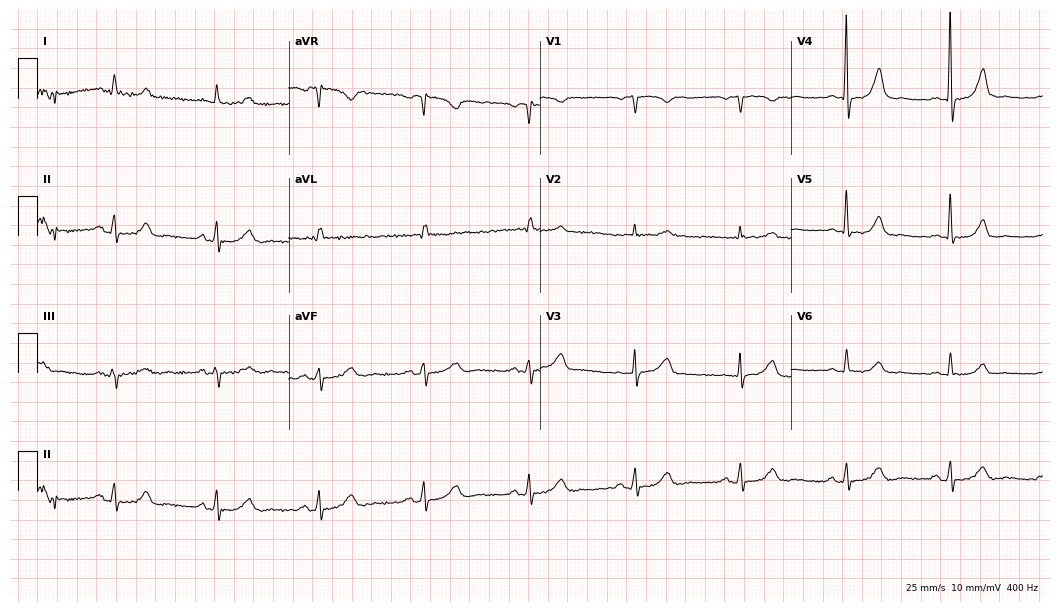
12-lead ECG from a 65-year-old female. No first-degree AV block, right bundle branch block, left bundle branch block, sinus bradycardia, atrial fibrillation or sinus tachycardia recorded for this tracing. Other findings, if any, are not listed.